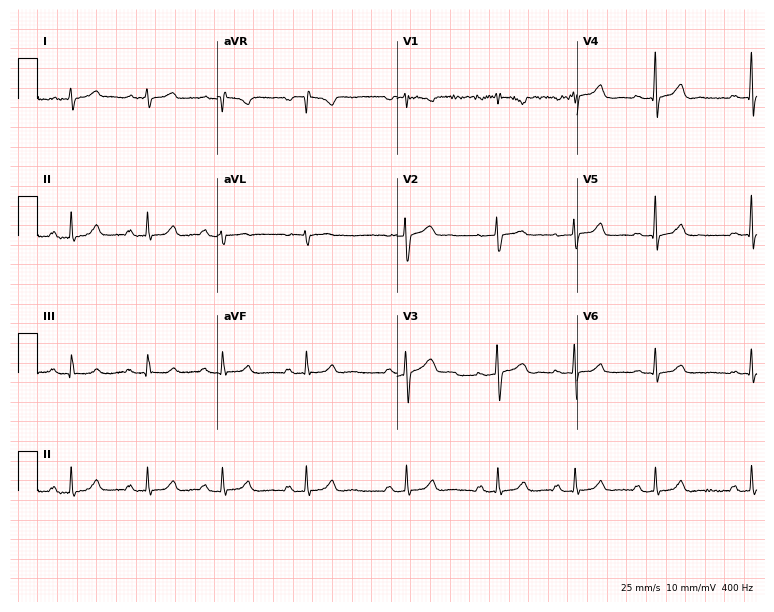
Resting 12-lead electrocardiogram. Patient: a man, 33 years old. Read as a normal ECG.